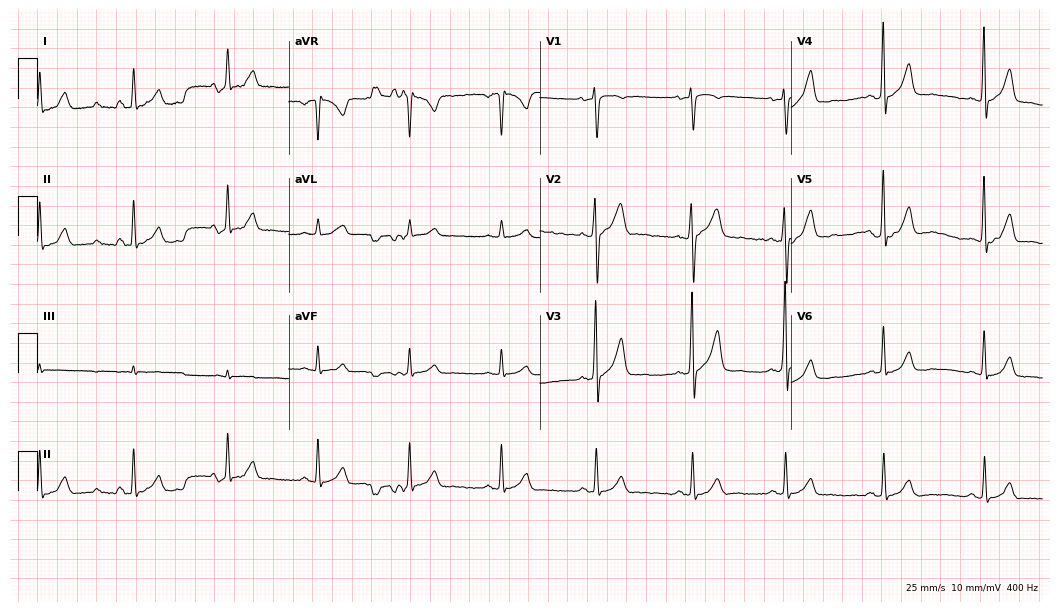
Standard 12-lead ECG recorded from a male, 41 years old (10.2-second recording at 400 Hz). Read as a normal ECG.